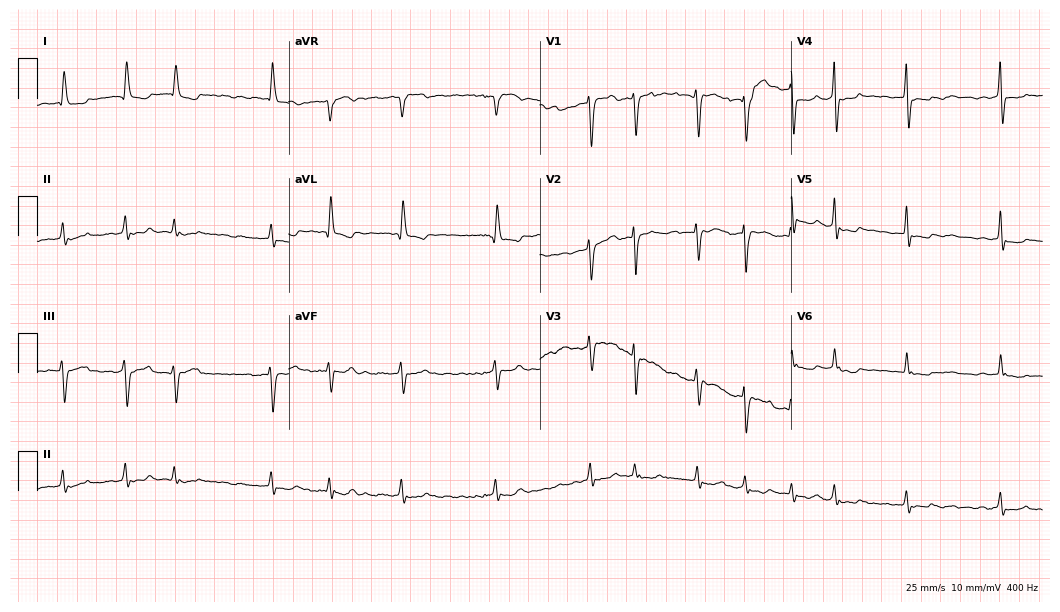
12-lead ECG from a 70-year-old woman. Findings include atrial fibrillation.